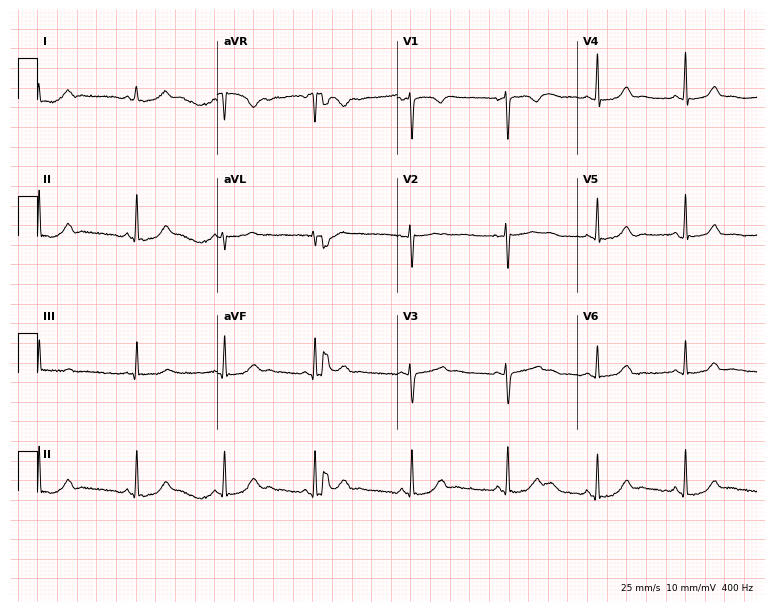
12-lead ECG from a female, 39 years old. Recorded interpretation: within normal limits.